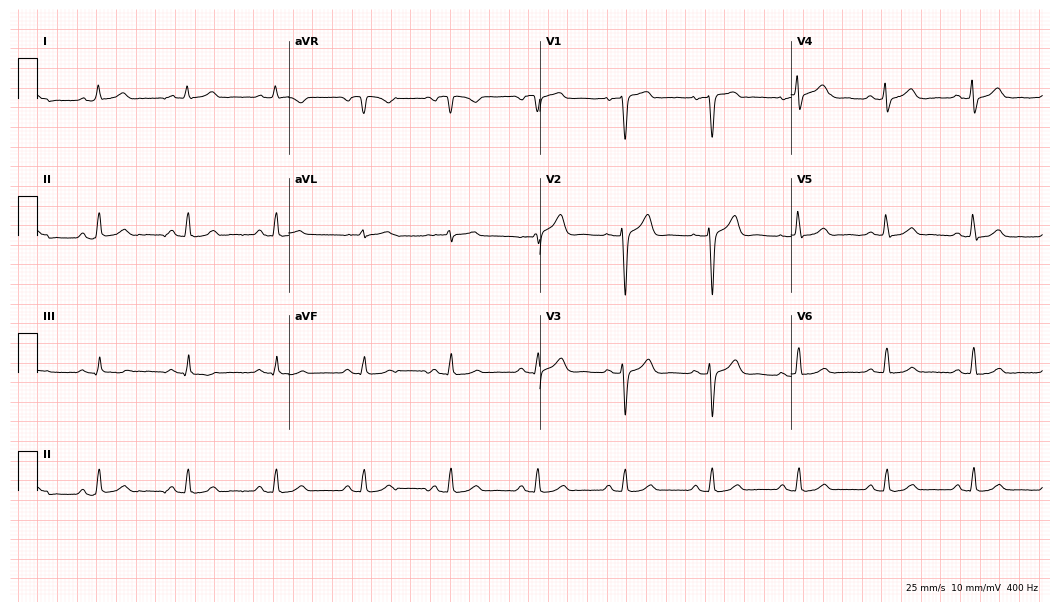
Electrocardiogram, a male, 57 years old. Of the six screened findings (first-degree AV block, right bundle branch block (RBBB), left bundle branch block (LBBB), sinus bradycardia, atrial fibrillation (AF), sinus tachycardia), none is recorded. Other findings, if any, are not listed.